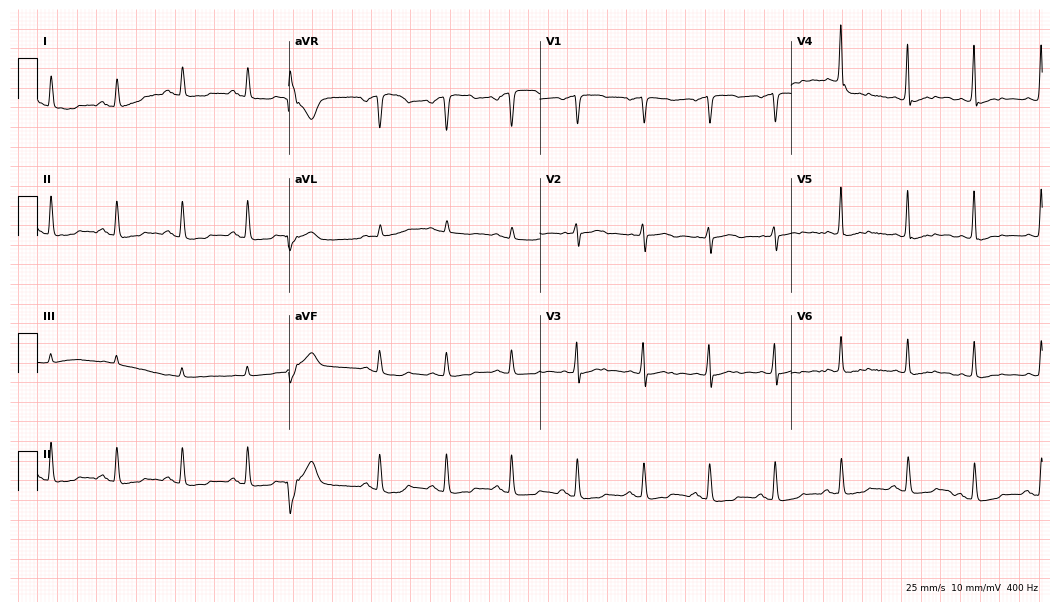
12-lead ECG from a man, 83 years old. Screened for six findings — first-degree AV block, right bundle branch block, left bundle branch block, sinus bradycardia, atrial fibrillation, sinus tachycardia — none is recorded.